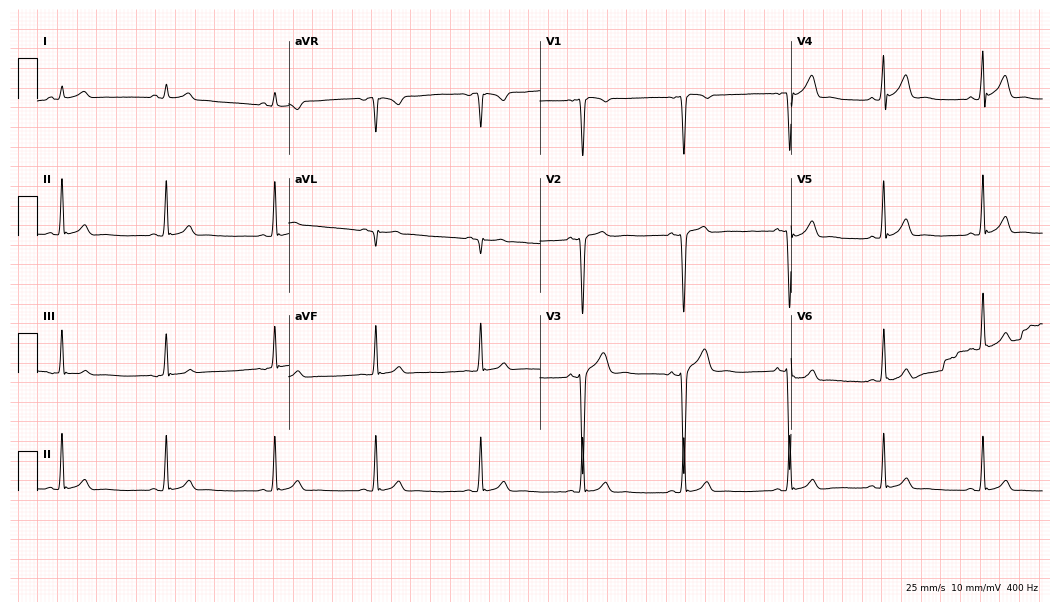
Electrocardiogram, an 18-year-old man. Of the six screened findings (first-degree AV block, right bundle branch block (RBBB), left bundle branch block (LBBB), sinus bradycardia, atrial fibrillation (AF), sinus tachycardia), none is recorded. Only these six findings were labelled.